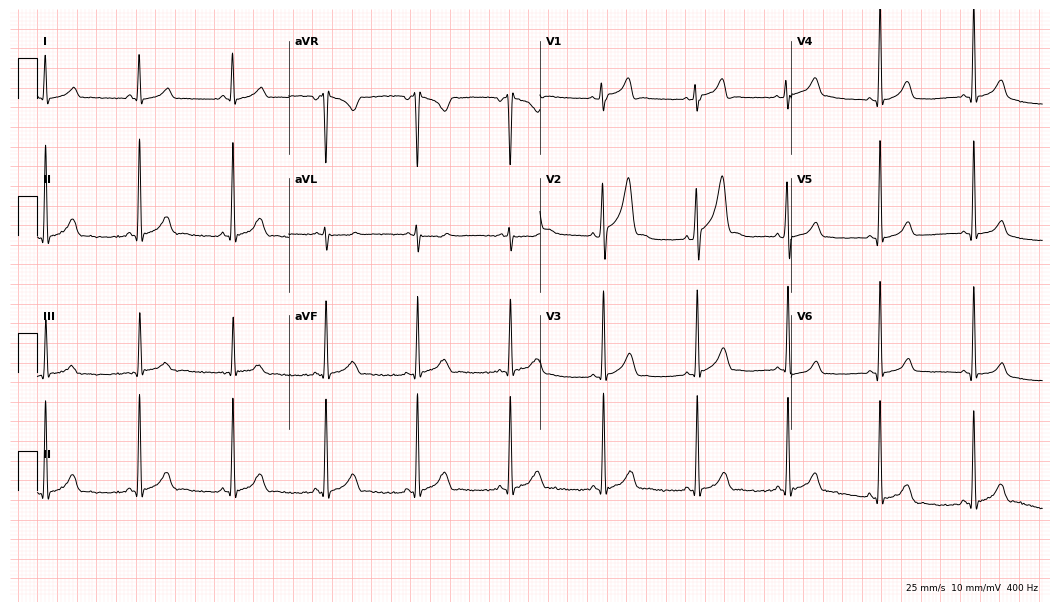
12-lead ECG from a male, 21 years old. Labelled as a normal ECG.